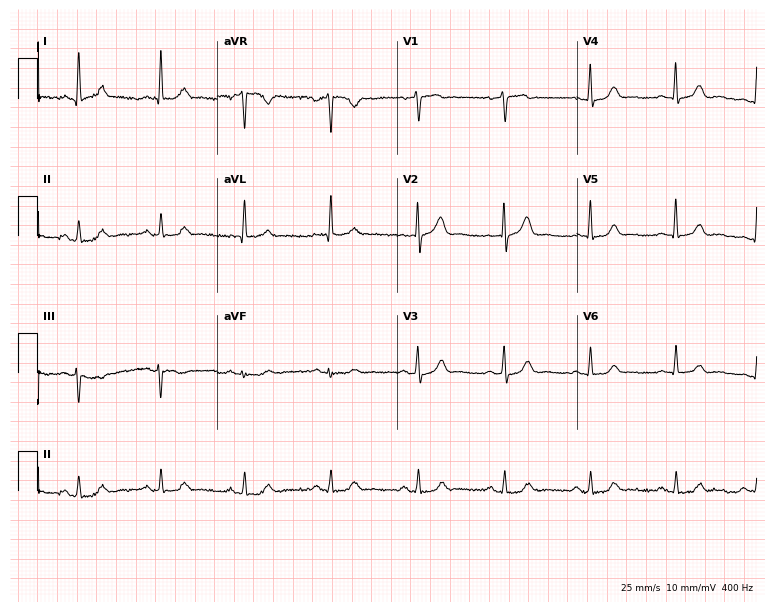
Resting 12-lead electrocardiogram. Patient: a male, 62 years old. Read as a normal ECG.